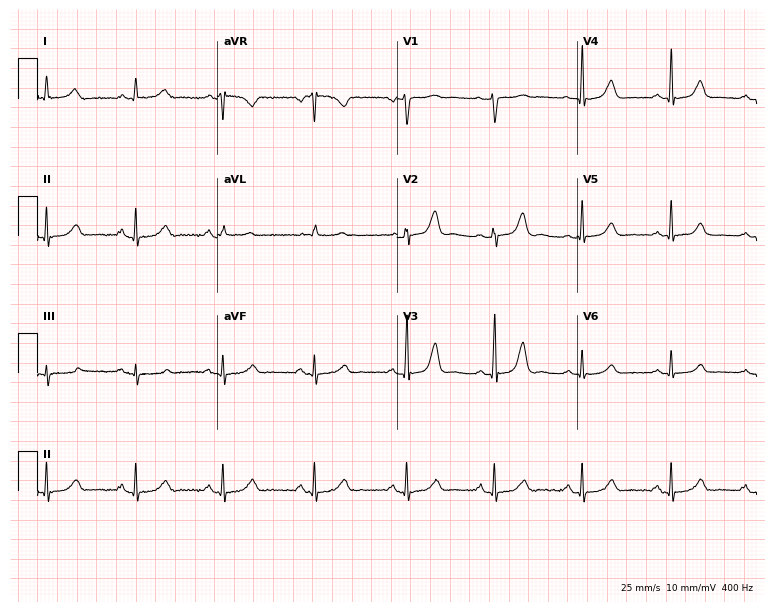
Electrocardiogram, a 65-year-old woman. Overall reading on record: normal ECG.